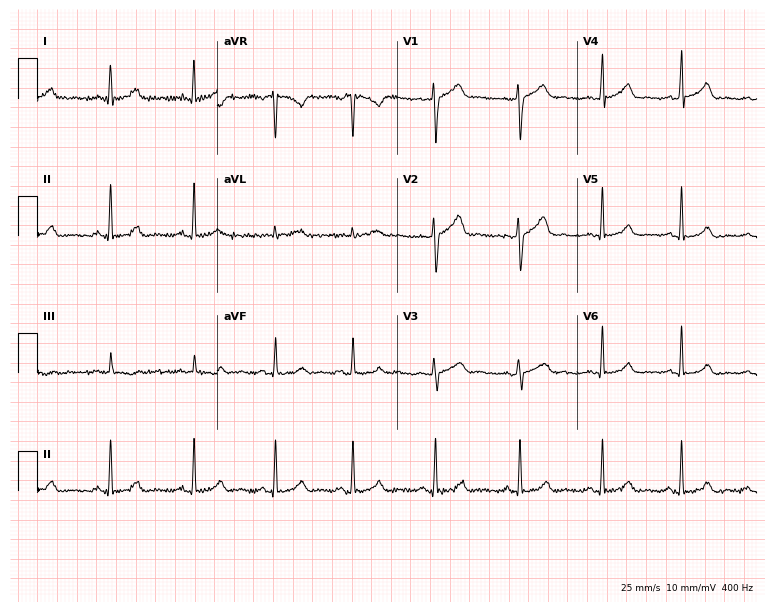
Standard 12-lead ECG recorded from a 35-year-old female (7.3-second recording at 400 Hz). Read as a normal ECG.